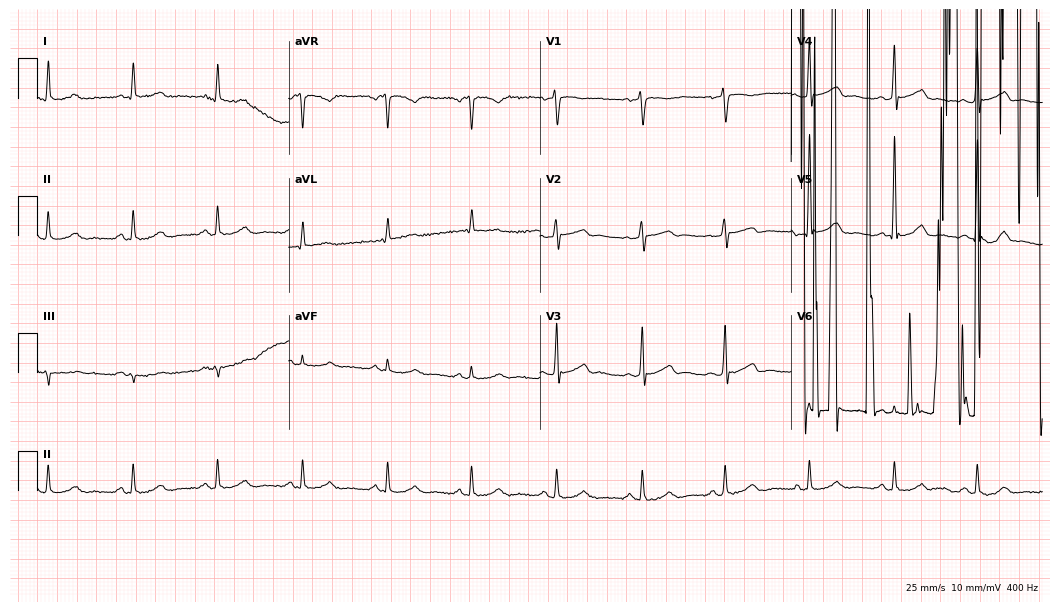
Electrocardiogram, a 70-year-old male. Of the six screened findings (first-degree AV block, right bundle branch block, left bundle branch block, sinus bradycardia, atrial fibrillation, sinus tachycardia), none is recorded.